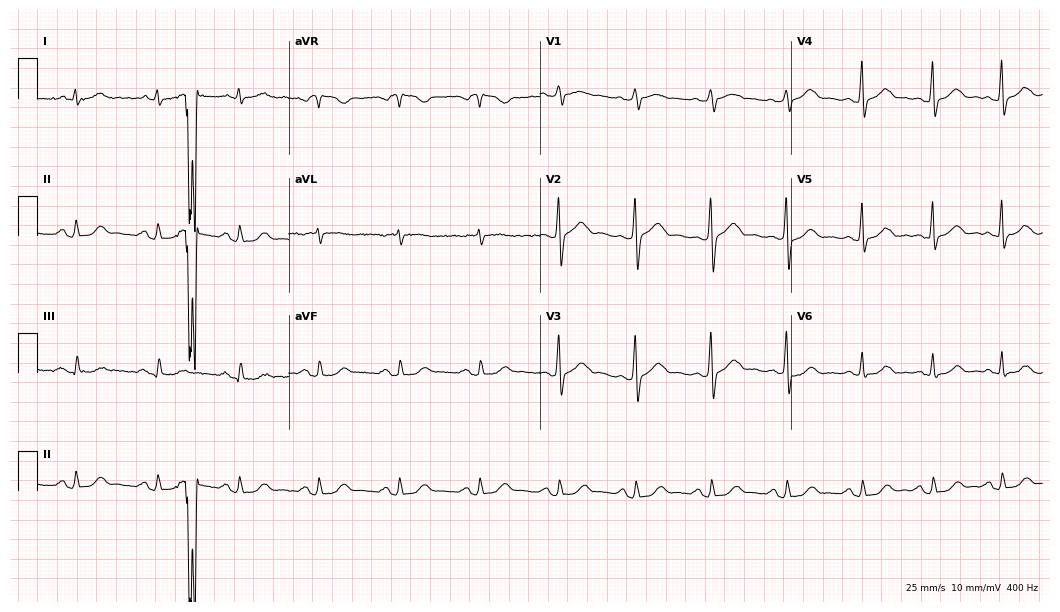
Standard 12-lead ECG recorded from a 76-year-old male patient. None of these six findings is recorded: first-degree AV block, right bundle branch block (RBBB), left bundle branch block (LBBB), sinus bradycardia, atrial fibrillation (AF), sinus tachycardia.